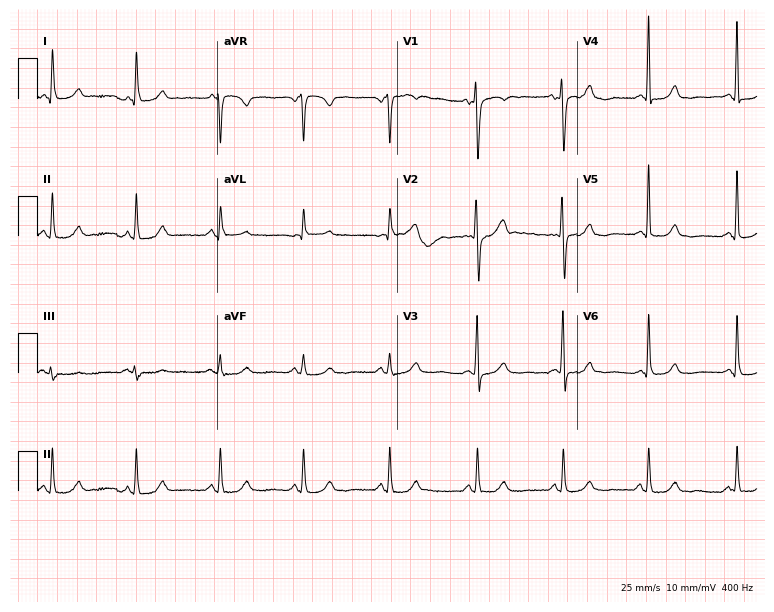
Electrocardiogram, a 62-year-old woman. Of the six screened findings (first-degree AV block, right bundle branch block, left bundle branch block, sinus bradycardia, atrial fibrillation, sinus tachycardia), none is recorded.